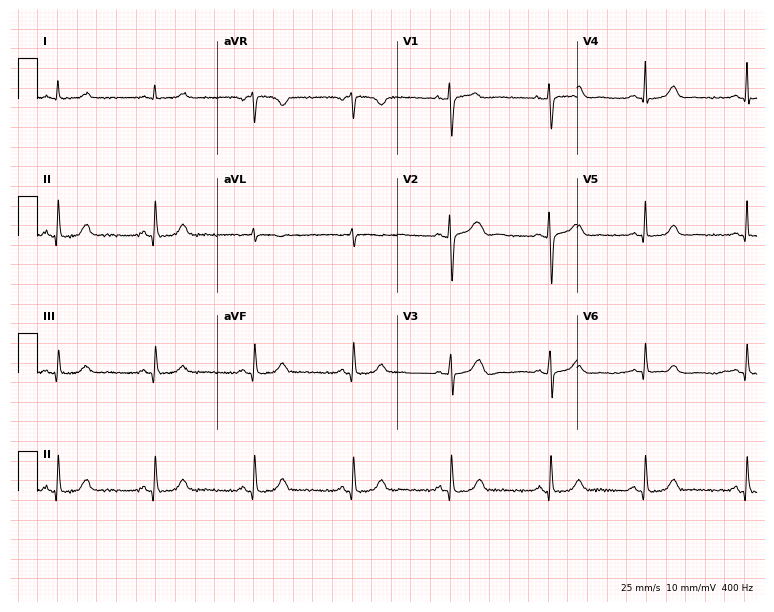
12-lead ECG from a 35-year-old woman. Labelled as a normal ECG.